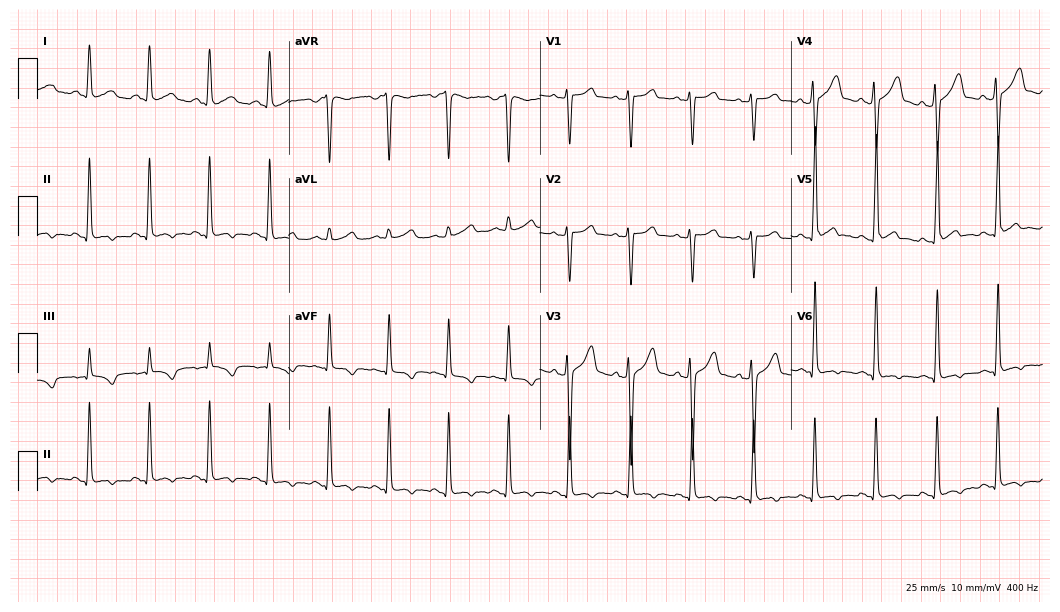
Resting 12-lead electrocardiogram (10.2-second recording at 400 Hz). Patient: a male, 48 years old. None of these six findings is recorded: first-degree AV block, right bundle branch block (RBBB), left bundle branch block (LBBB), sinus bradycardia, atrial fibrillation (AF), sinus tachycardia. Other findings, if any, are not listed.